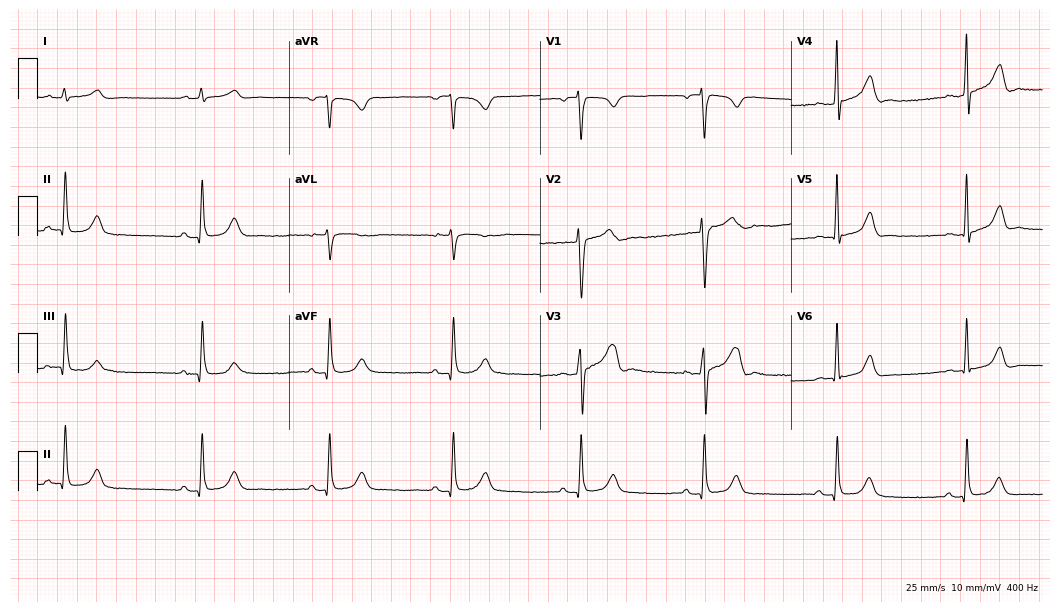
Standard 12-lead ECG recorded from a man, 30 years old. None of these six findings is recorded: first-degree AV block, right bundle branch block (RBBB), left bundle branch block (LBBB), sinus bradycardia, atrial fibrillation (AF), sinus tachycardia.